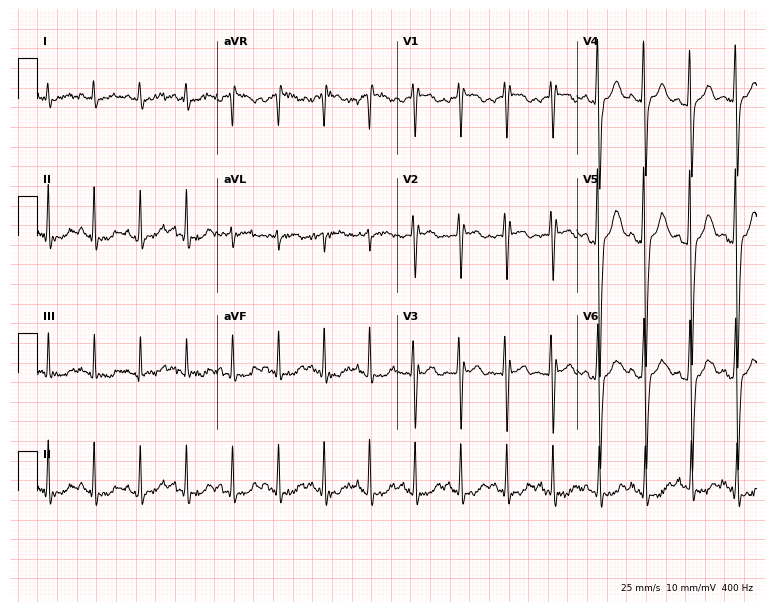
Resting 12-lead electrocardiogram. Patient: a 37-year-old male. The tracing shows sinus tachycardia (a sinus rate of 100 beats per minute or more).